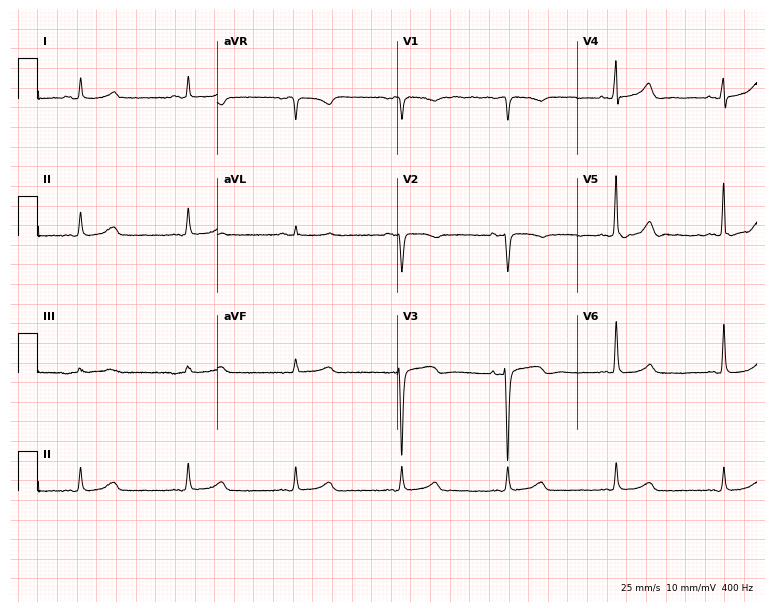
Standard 12-lead ECG recorded from a woman, 64 years old (7.3-second recording at 400 Hz). Read as a normal ECG.